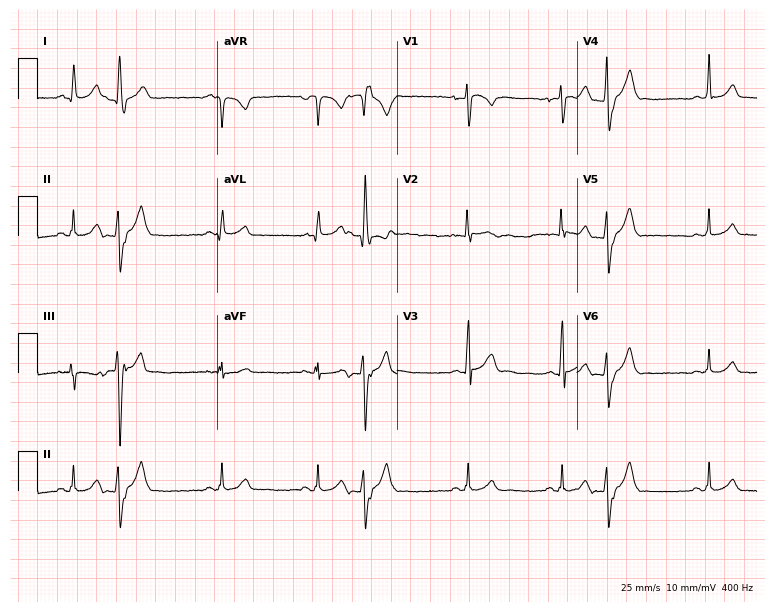
12-lead ECG from a woman, 23 years old. Screened for six findings — first-degree AV block, right bundle branch block, left bundle branch block, sinus bradycardia, atrial fibrillation, sinus tachycardia — none is recorded. Only these six findings were labelled.